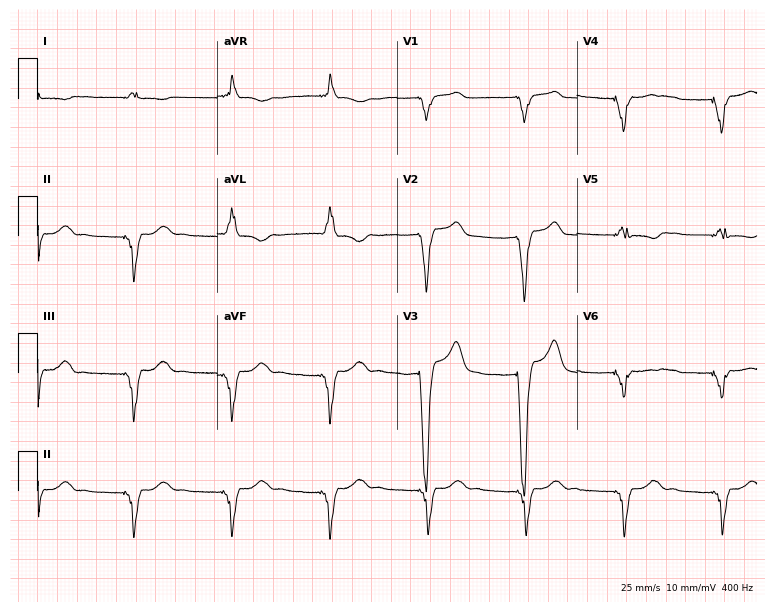
12-lead ECG from a woman, 61 years old. Screened for six findings — first-degree AV block, right bundle branch block, left bundle branch block, sinus bradycardia, atrial fibrillation, sinus tachycardia — none is recorded. Findings outside these six are not listed.